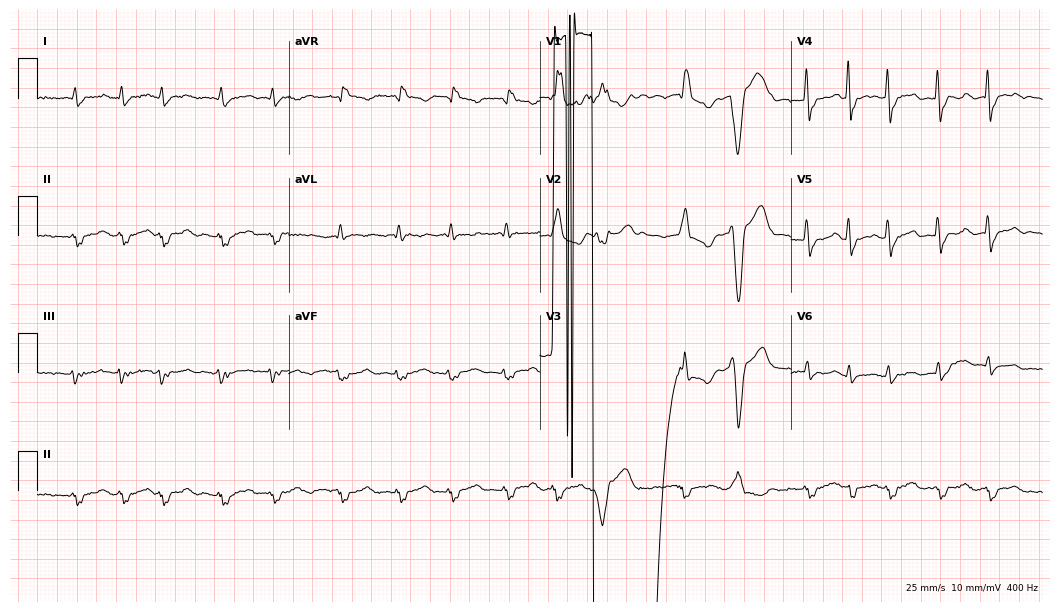
Resting 12-lead electrocardiogram. Patient: a 76-year-old male. The tracing shows first-degree AV block, right bundle branch block (RBBB), sinus bradycardia (a sinus rate of 50 beats per minute or less), atrial fibrillation (AF).